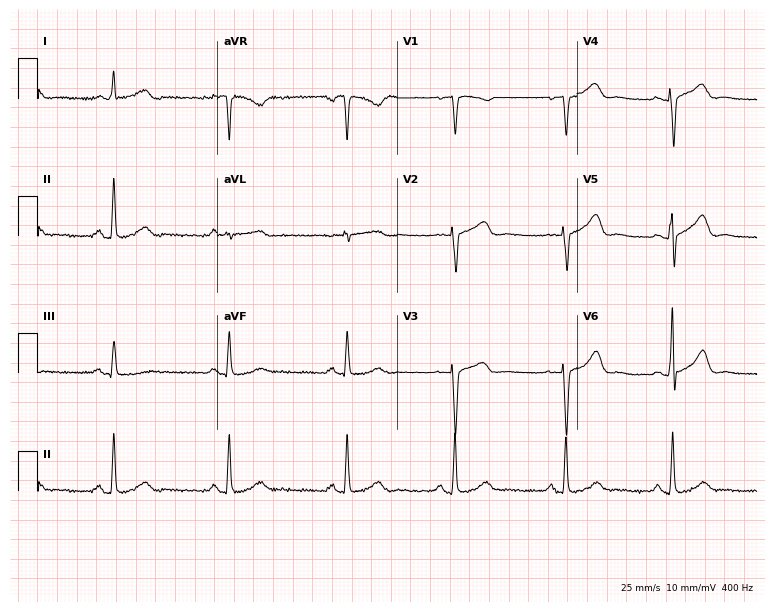
Resting 12-lead electrocardiogram. Patient: a woman, 59 years old. Read as a normal ECG.